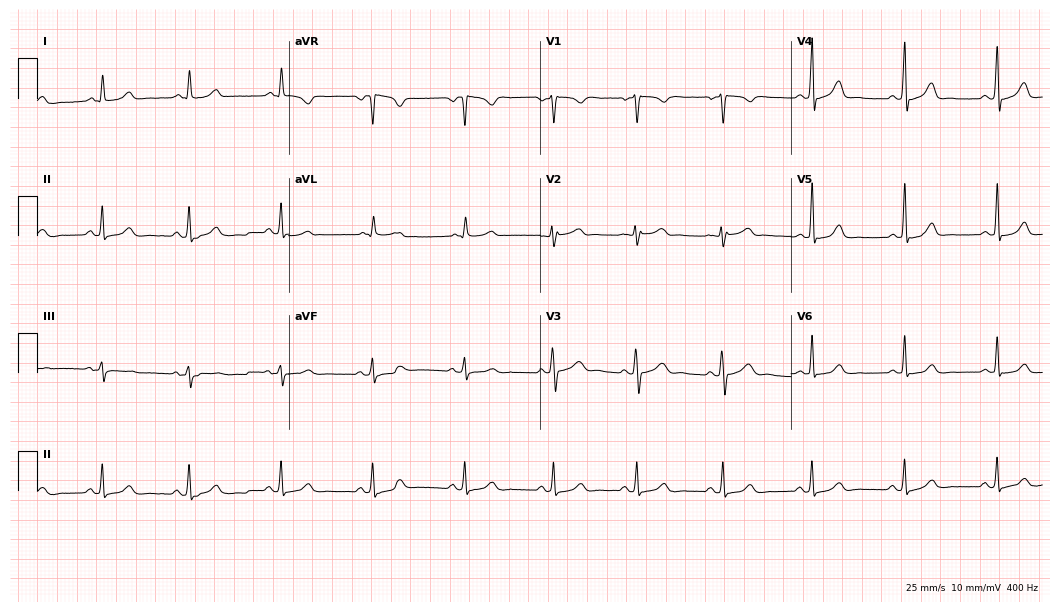
12-lead ECG from a female, 46 years old (10.2-second recording at 400 Hz). Recorded interpretation: within normal limits.